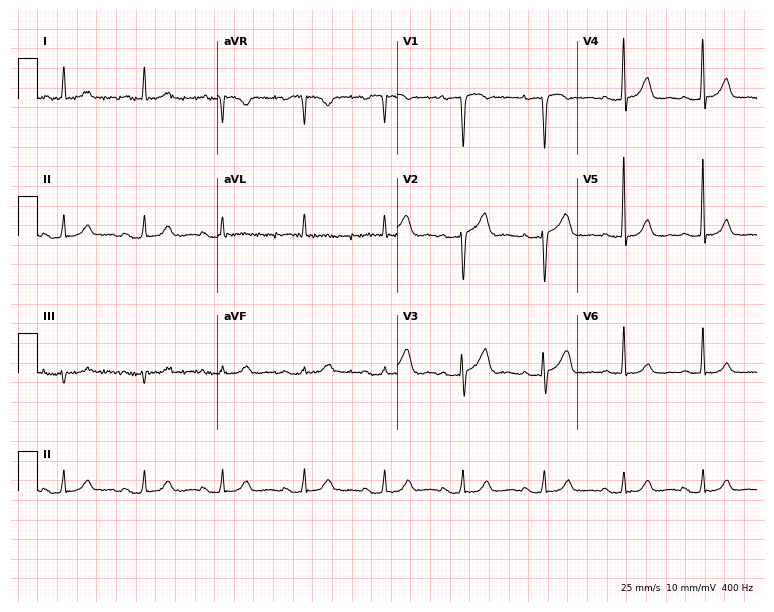
12-lead ECG (7.3-second recording at 400 Hz) from a woman, 68 years old. Labelled as a normal ECG.